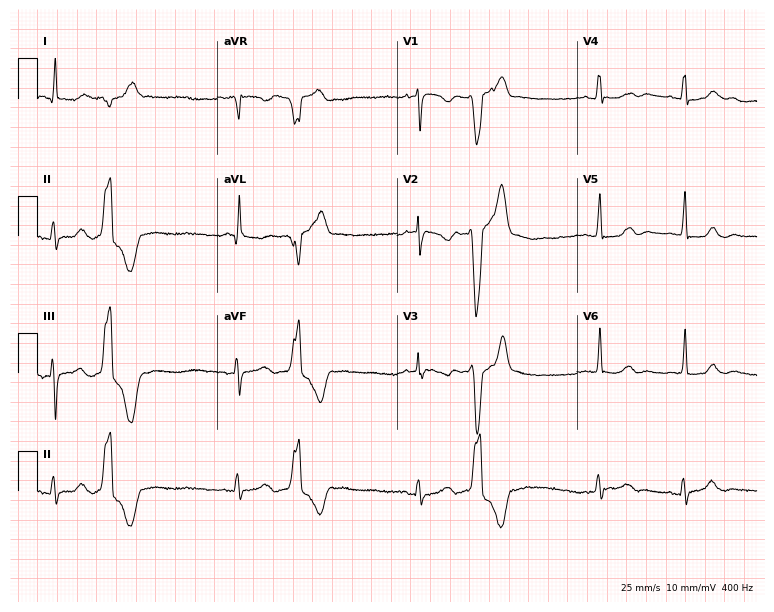
12-lead ECG (7.3-second recording at 400 Hz) from a female patient, 83 years old. Labelled as a normal ECG.